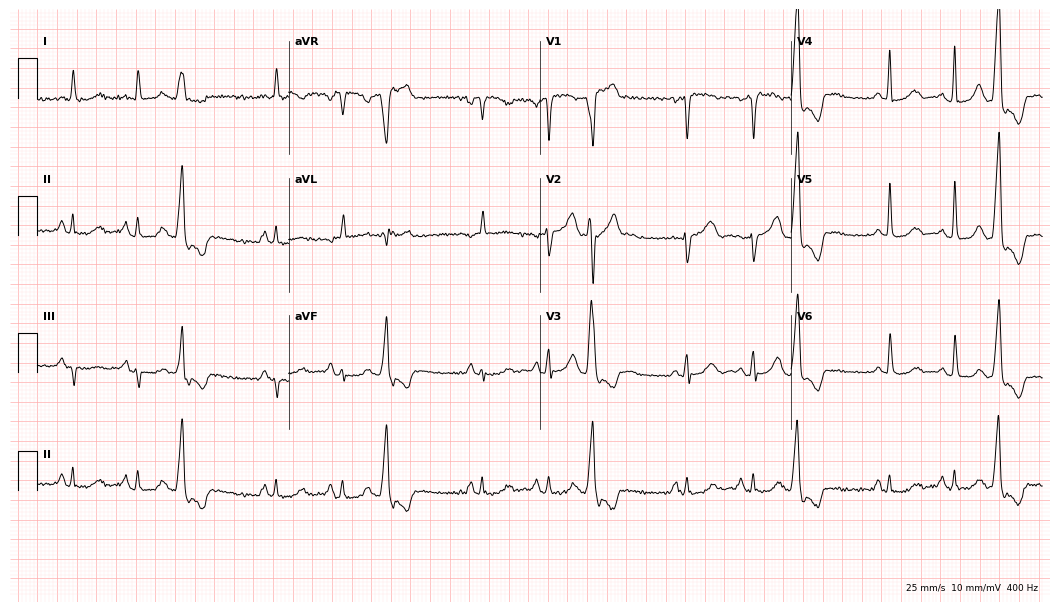
Resting 12-lead electrocardiogram. Patient: a woman, 64 years old. None of these six findings is recorded: first-degree AV block, right bundle branch block, left bundle branch block, sinus bradycardia, atrial fibrillation, sinus tachycardia. Only these six findings were labelled.